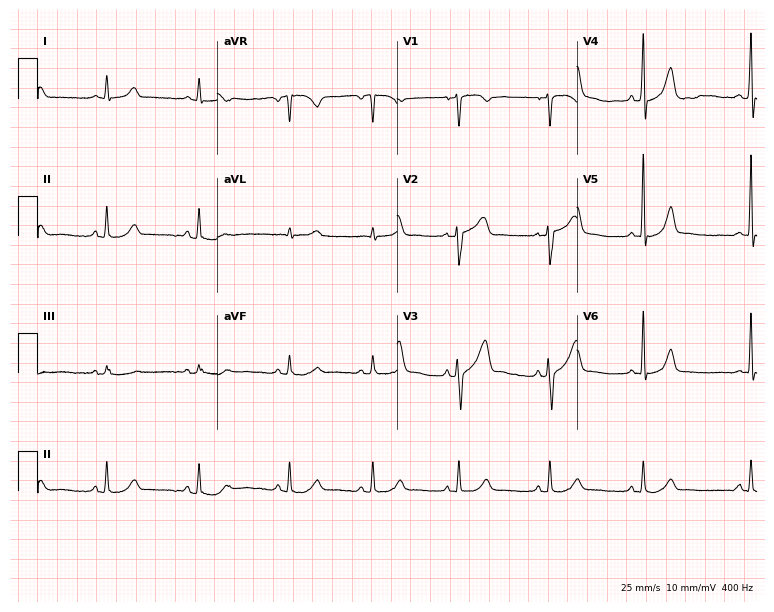
Resting 12-lead electrocardiogram (7.3-second recording at 400 Hz). Patient: a man, 58 years old. Read as a normal ECG.